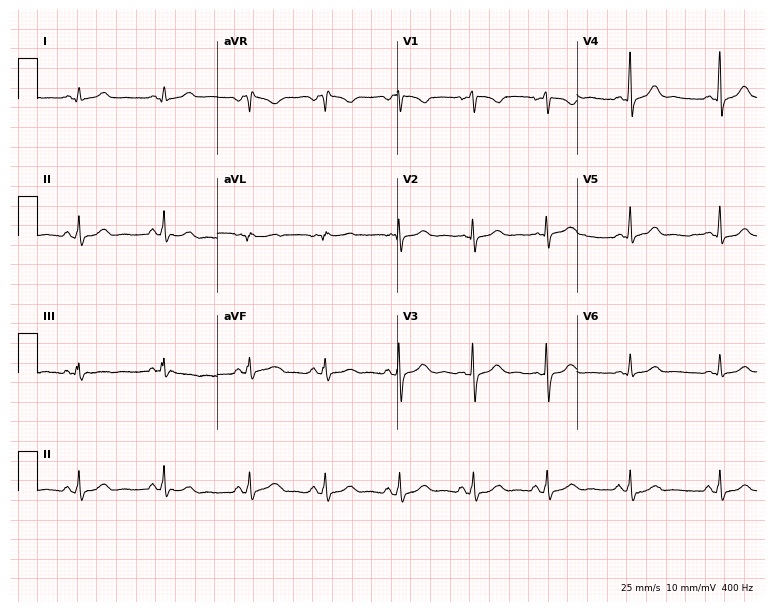
12-lead ECG from a 17-year-old female patient. Labelled as a normal ECG.